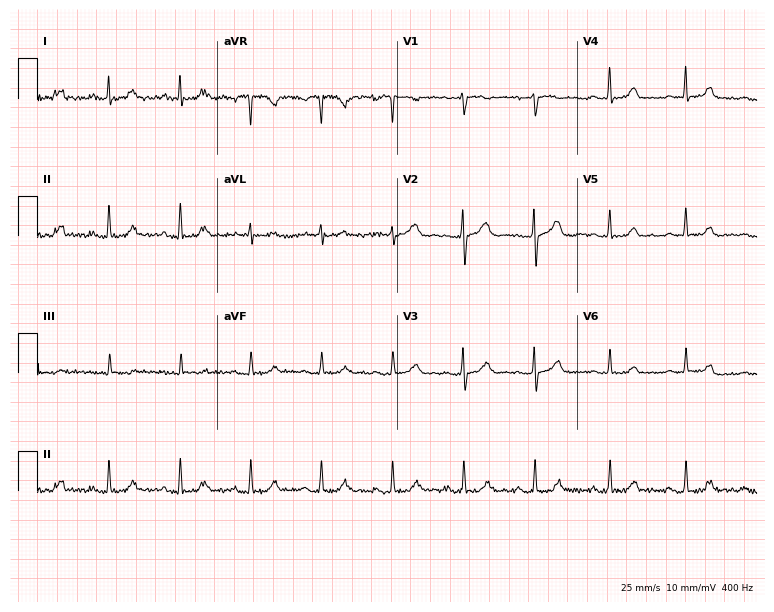
Standard 12-lead ECG recorded from a female, 47 years old (7.3-second recording at 400 Hz). None of these six findings is recorded: first-degree AV block, right bundle branch block (RBBB), left bundle branch block (LBBB), sinus bradycardia, atrial fibrillation (AF), sinus tachycardia.